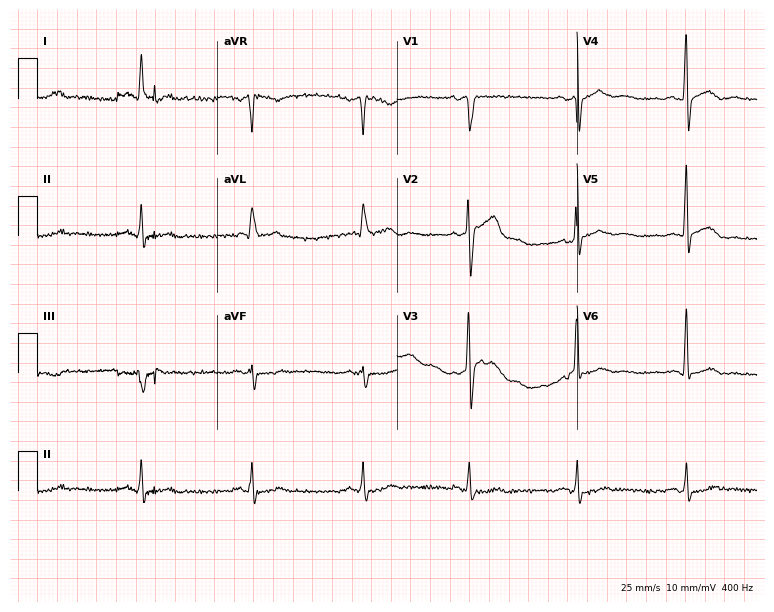
12-lead ECG from a female patient, 65 years old (7.3-second recording at 400 Hz). No first-degree AV block, right bundle branch block, left bundle branch block, sinus bradycardia, atrial fibrillation or sinus tachycardia recorded for this tracing. Findings outside these six are not listed.